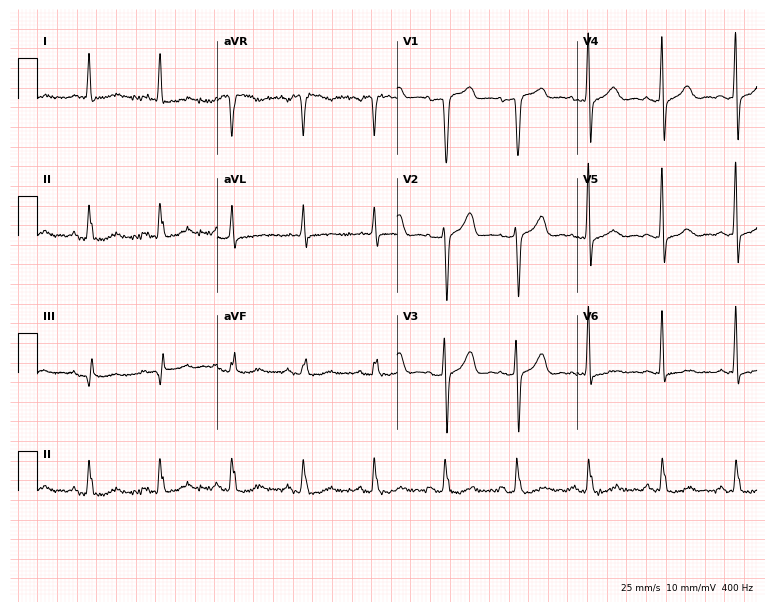
Electrocardiogram (7.3-second recording at 400 Hz), a man, 72 years old. Overall reading on record: normal ECG.